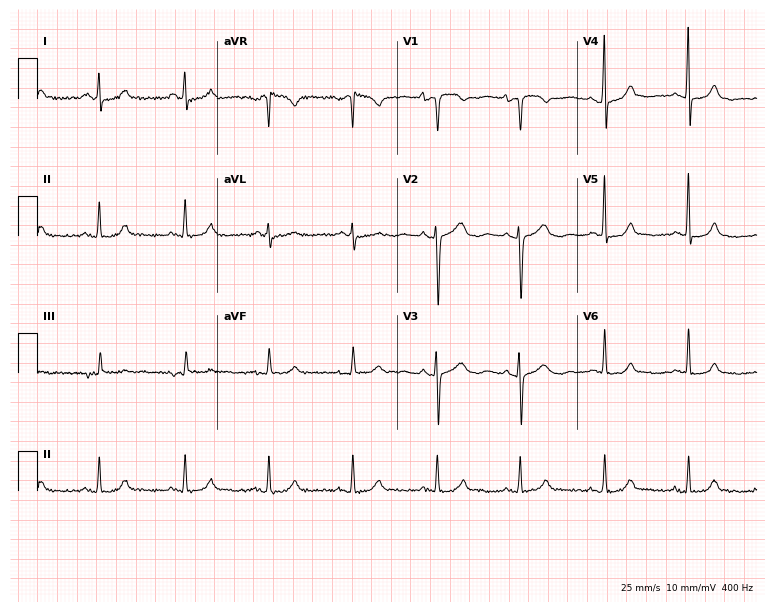
12-lead ECG (7.3-second recording at 400 Hz) from a 31-year-old woman. Screened for six findings — first-degree AV block, right bundle branch block, left bundle branch block, sinus bradycardia, atrial fibrillation, sinus tachycardia — none is recorded.